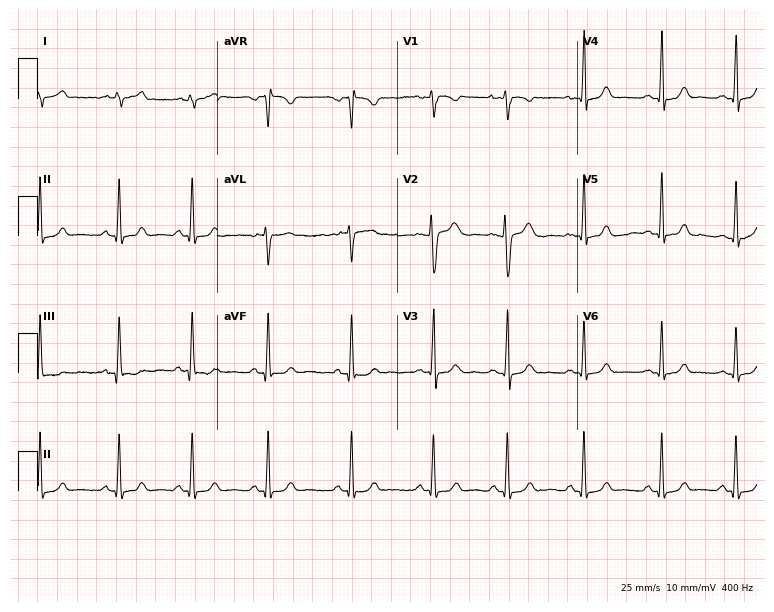
ECG (7.3-second recording at 400 Hz) — a woman, 27 years old. Screened for six findings — first-degree AV block, right bundle branch block, left bundle branch block, sinus bradycardia, atrial fibrillation, sinus tachycardia — none is recorded. Only these six findings were labelled.